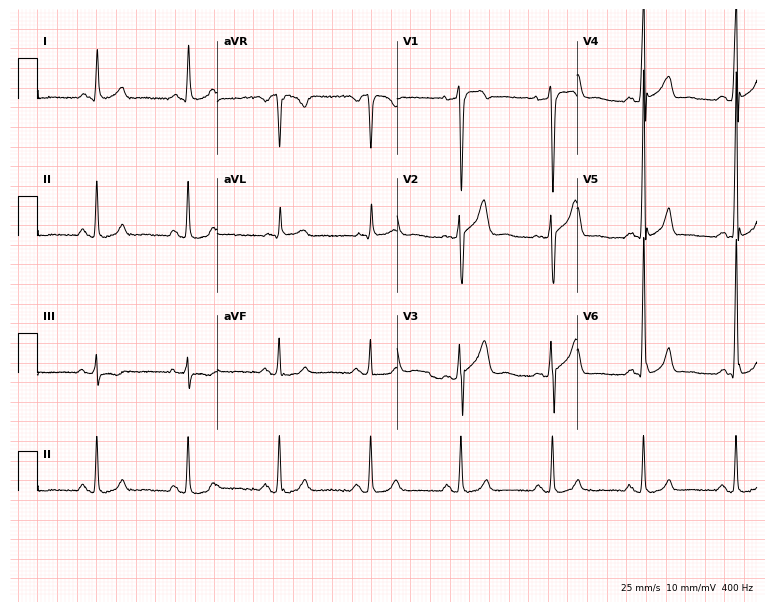
12-lead ECG (7.3-second recording at 400 Hz) from a male, 51 years old. Screened for six findings — first-degree AV block, right bundle branch block, left bundle branch block, sinus bradycardia, atrial fibrillation, sinus tachycardia — none is recorded.